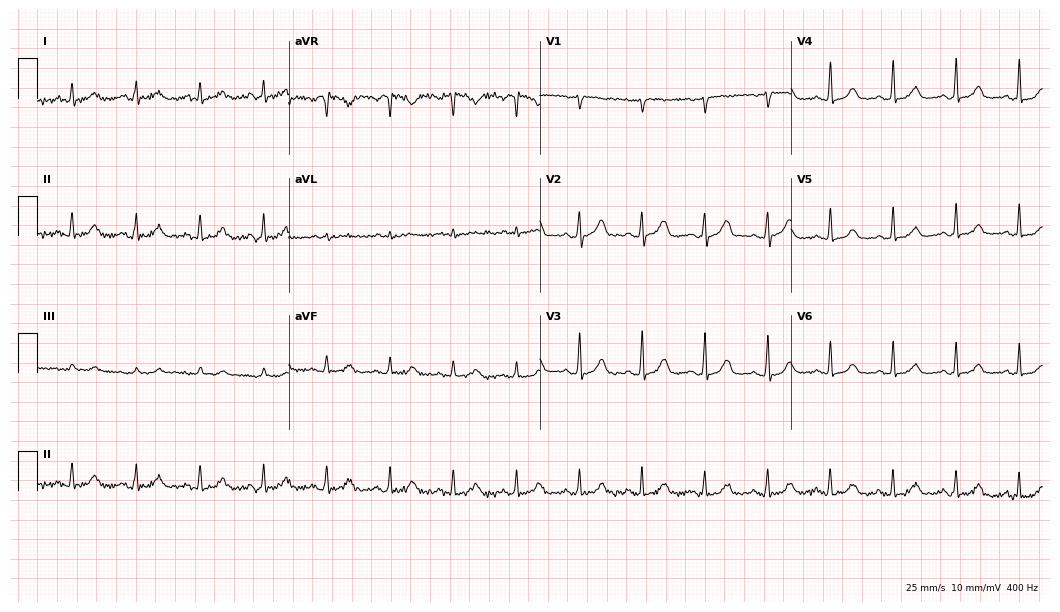
Resting 12-lead electrocardiogram (10.2-second recording at 400 Hz). Patient: a female, 45 years old. Read as a normal ECG.